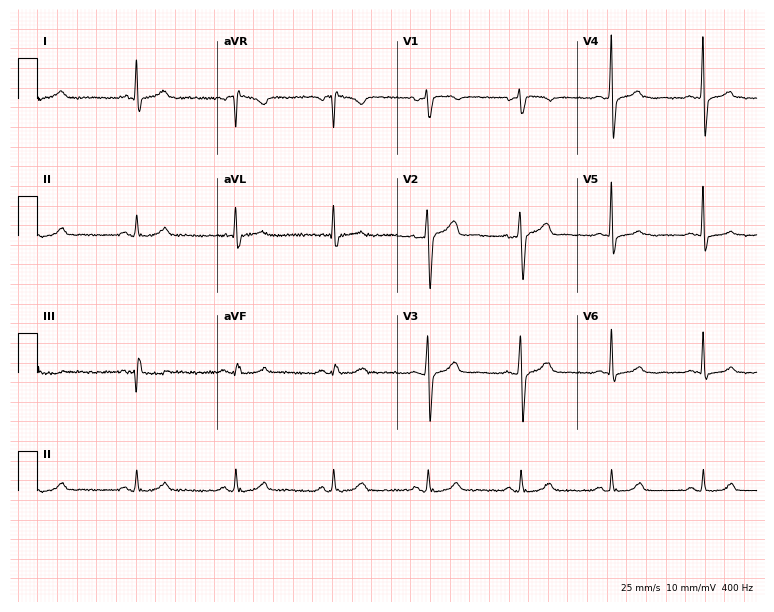
Standard 12-lead ECG recorded from a male patient, 40 years old. Read as a normal ECG.